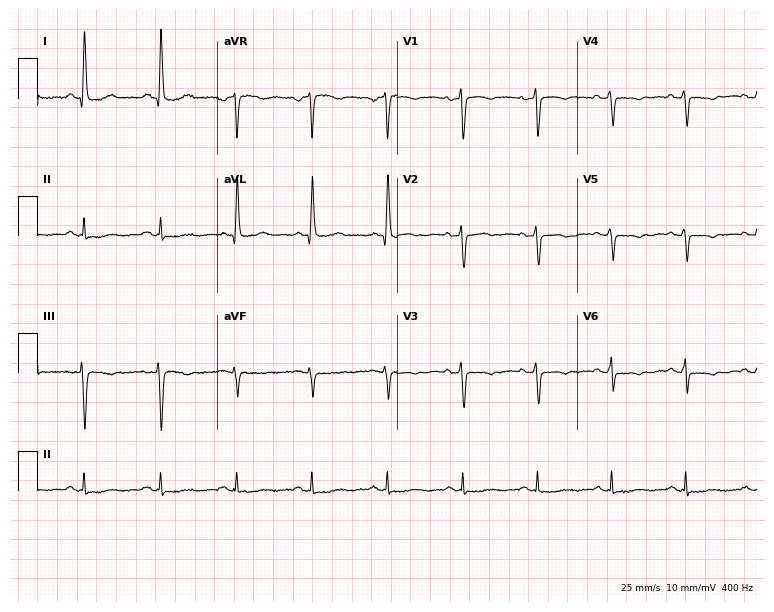
12-lead ECG from a 66-year-old female patient. Screened for six findings — first-degree AV block, right bundle branch block, left bundle branch block, sinus bradycardia, atrial fibrillation, sinus tachycardia — none is recorded. Other findings, if any, are not listed.